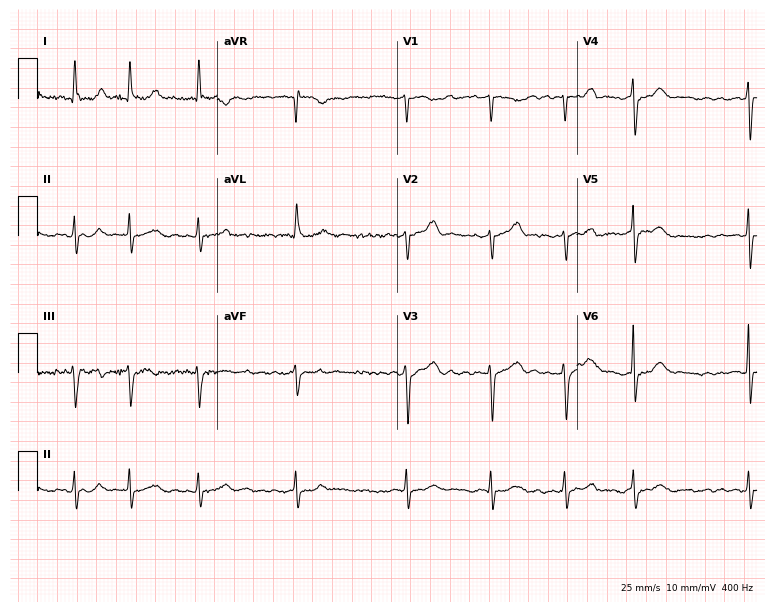
Electrocardiogram, a woman, 80 years old. Interpretation includes atrial fibrillation.